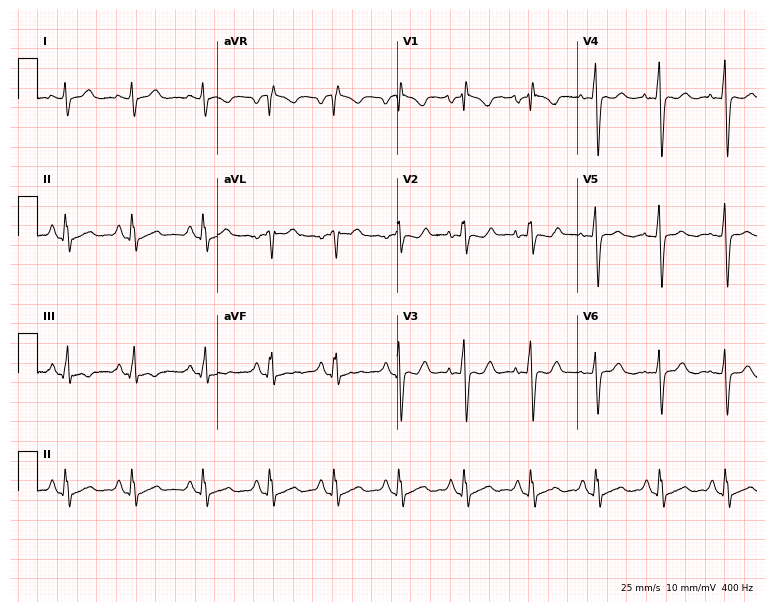
ECG (7.3-second recording at 400 Hz) — a 30-year-old female. Screened for six findings — first-degree AV block, right bundle branch block (RBBB), left bundle branch block (LBBB), sinus bradycardia, atrial fibrillation (AF), sinus tachycardia — none is recorded.